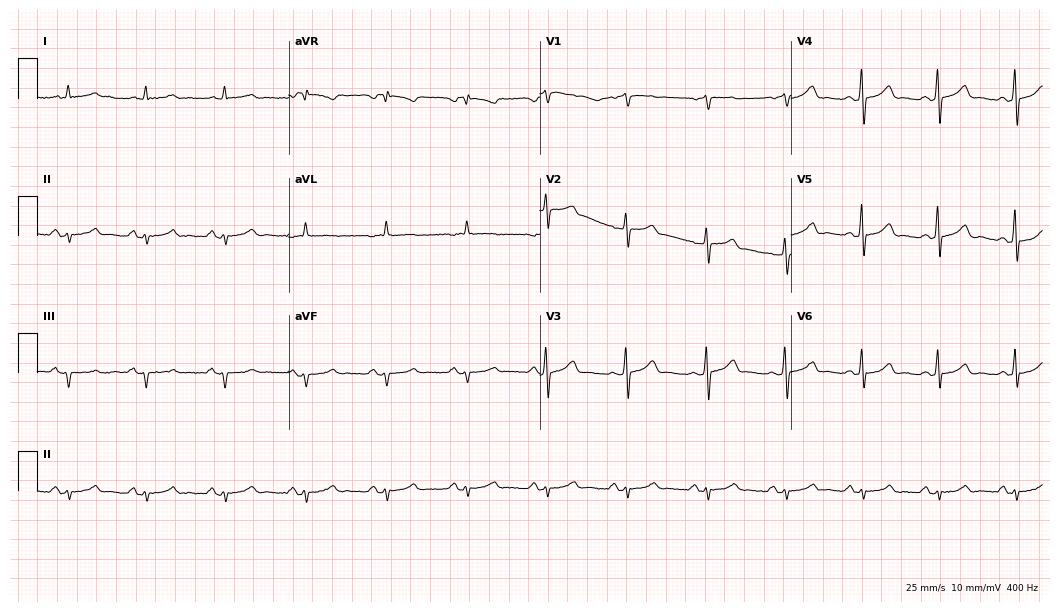
Resting 12-lead electrocardiogram. Patient: an 80-year-old male. None of these six findings is recorded: first-degree AV block, right bundle branch block (RBBB), left bundle branch block (LBBB), sinus bradycardia, atrial fibrillation (AF), sinus tachycardia.